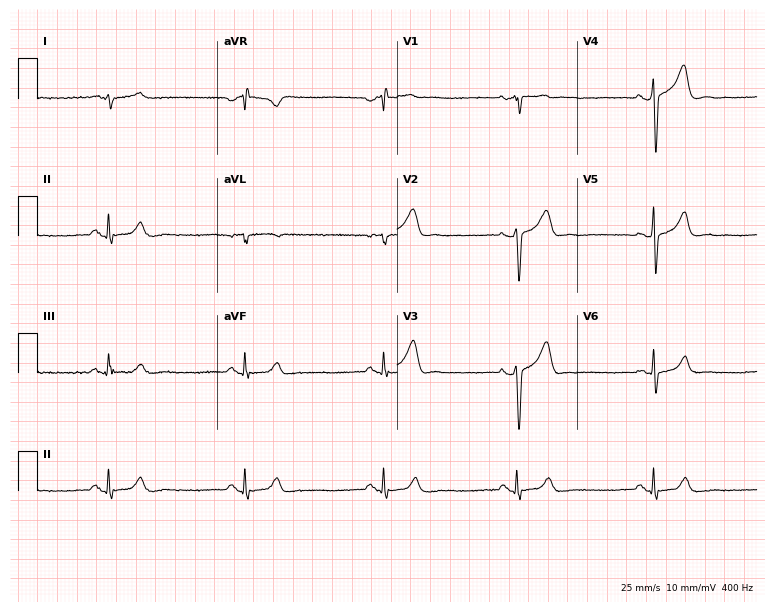
12-lead ECG (7.3-second recording at 400 Hz) from a 47-year-old male. Findings include sinus bradycardia (a sinus rate of 50 beats per minute or less).